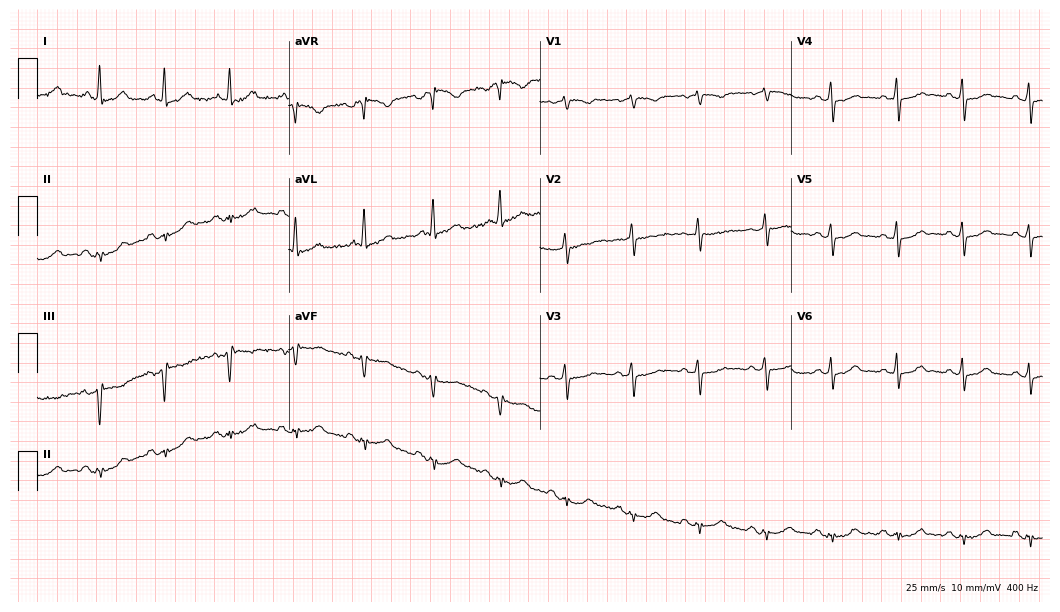
12-lead ECG from a 63-year-old woman (10.2-second recording at 400 Hz). No first-degree AV block, right bundle branch block, left bundle branch block, sinus bradycardia, atrial fibrillation or sinus tachycardia recorded for this tracing.